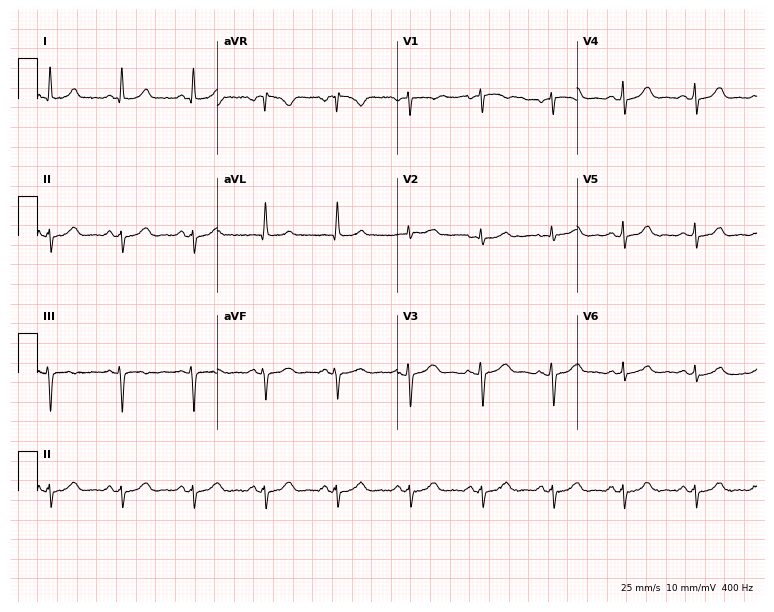
Resting 12-lead electrocardiogram. Patient: a 63-year-old female. None of these six findings is recorded: first-degree AV block, right bundle branch block, left bundle branch block, sinus bradycardia, atrial fibrillation, sinus tachycardia.